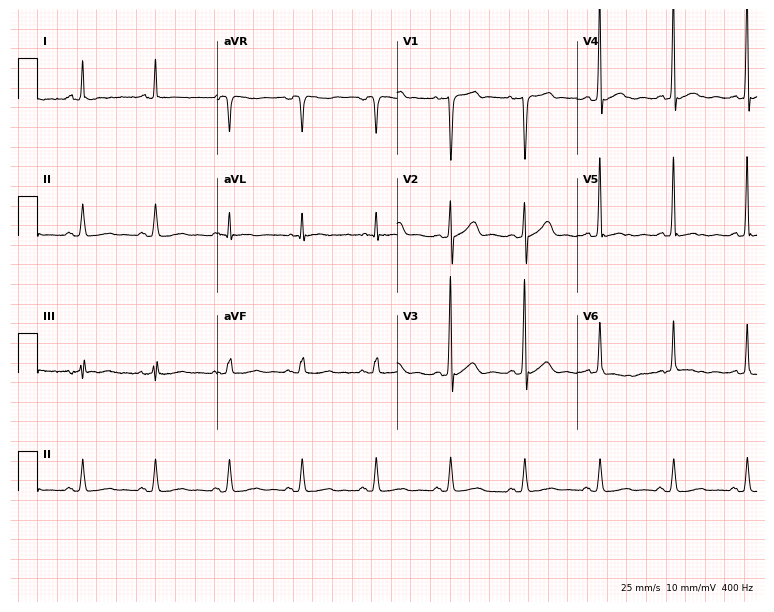
Standard 12-lead ECG recorded from a male patient, 62 years old. Read as a normal ECG.